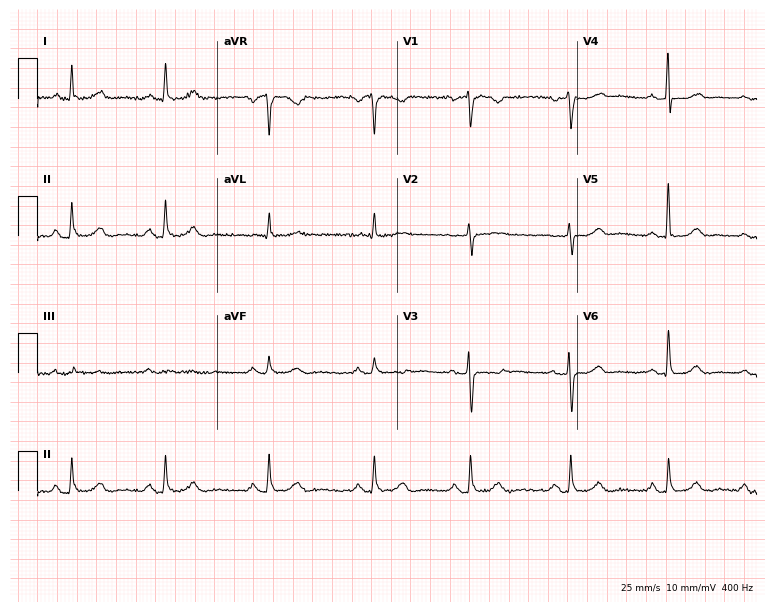
Standard 12-lead ECG recorded from a 64-year-old male (7.3-second recording at 400 Hz). None of these six findings is recorded: first-degree AV block, right bundle branch block, left bundle branch block, sinus bradycardia, atrial fibrillation, sinus tachycardia. Findings outside these six are not listed.